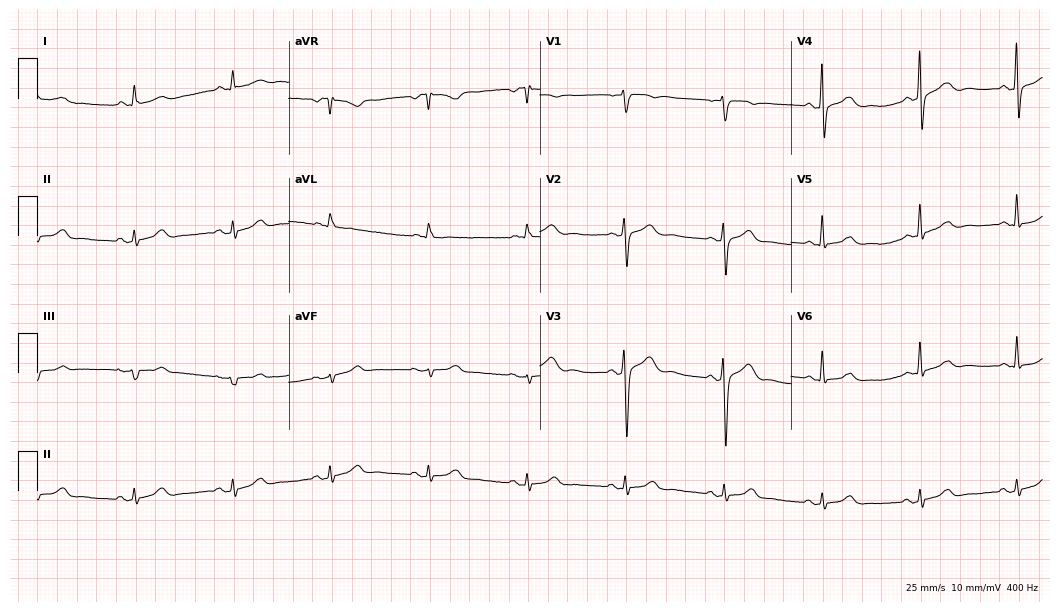
12-lead ECG from a man, 69 years old. Recorded interpretation: within normal limits.